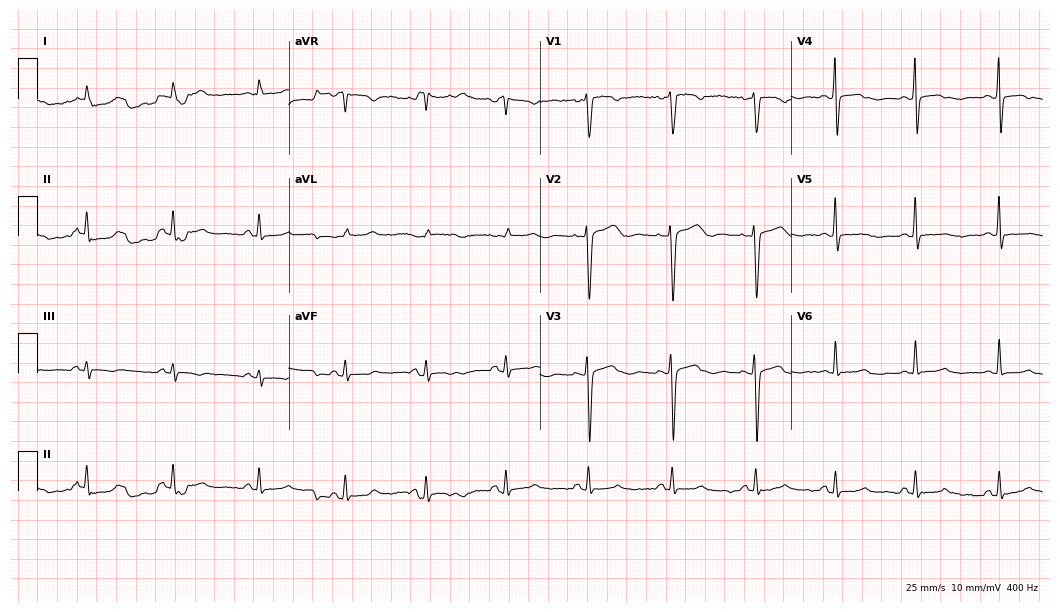
ECG — a female patient, 54 years old. Labelled as a normal ECG.